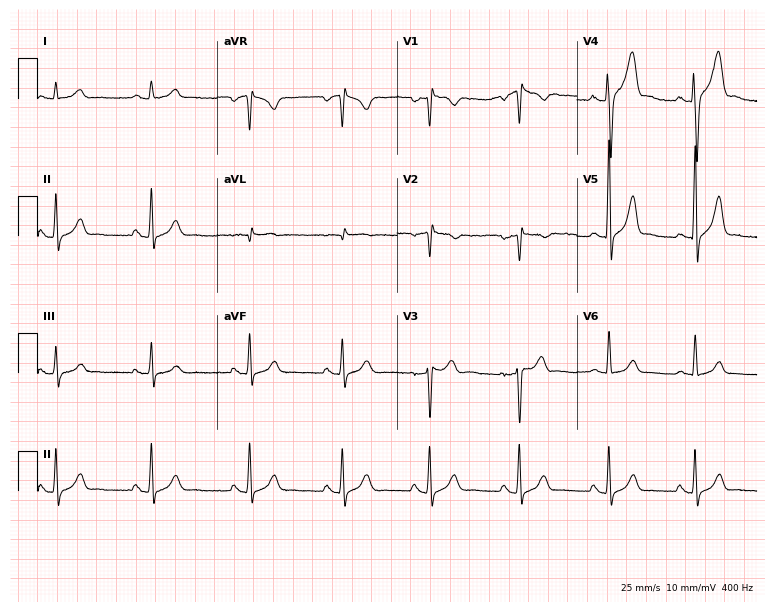
Electrocardiogram (7.3-second recording at 400 Hz), a 32-year-old man. Of the six screened findings (first-degree AV block, right bundle branch block, left bundle branch block, sinus bradycardia, atrial fibrillation, sinus tachycardia), none is recorded.